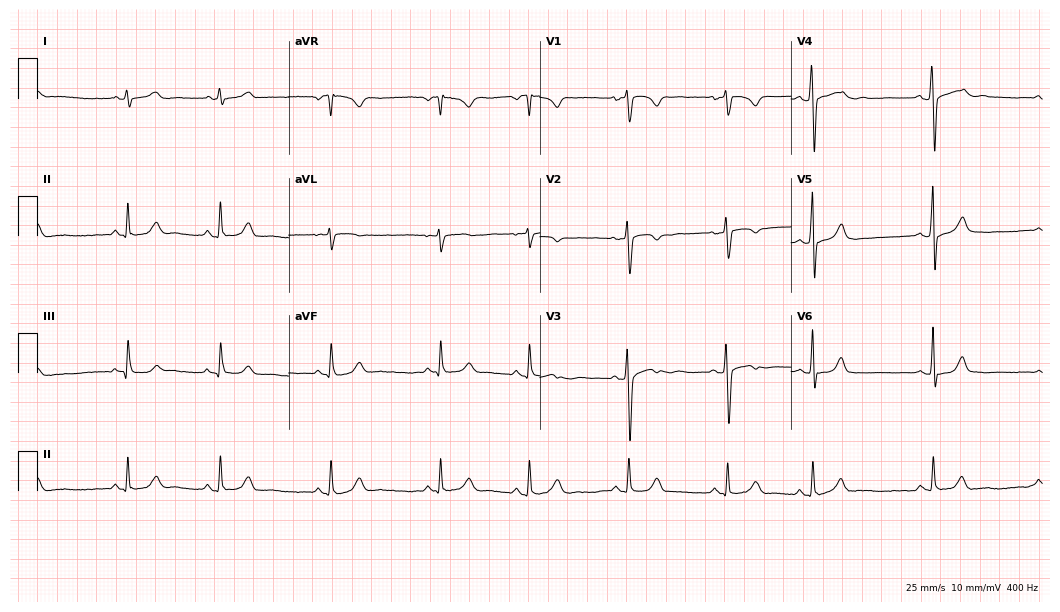
Standard 12-lead ECG recorded from a 23-year-old woman. Read as a normal ECG.